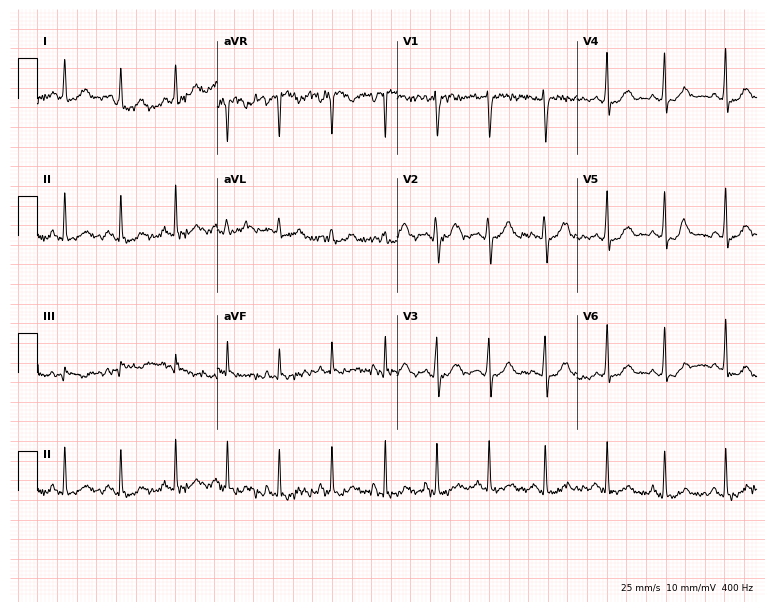
ECG (7.3-second recording at 400 Hz) — a female, 19 years old. Findings include sinus tachycardia (a sinus rate of 100 beats per minute or more).